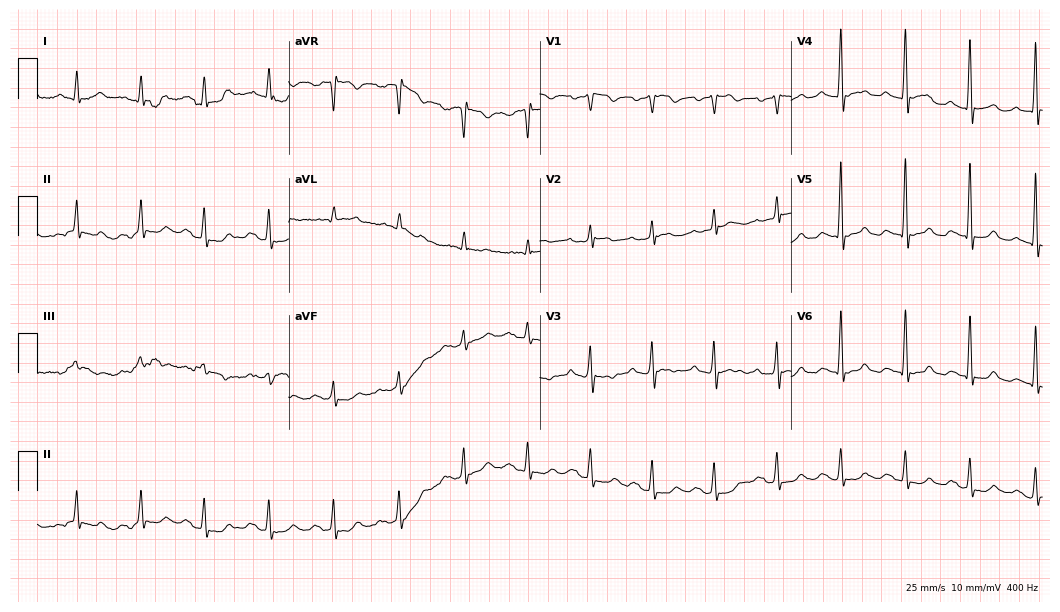
Electrocardiogram (10.2-second recording at 400 Hz), a 54-year-old male. Of the six screened findings (first-degree AV block, right bundle branch block (RBBB), left bundle branch block (LBBB), sinus bradycardia, atrial fibrillation (AF), sinus tachycardia), none is recorded. Findings outside these six are not listed.